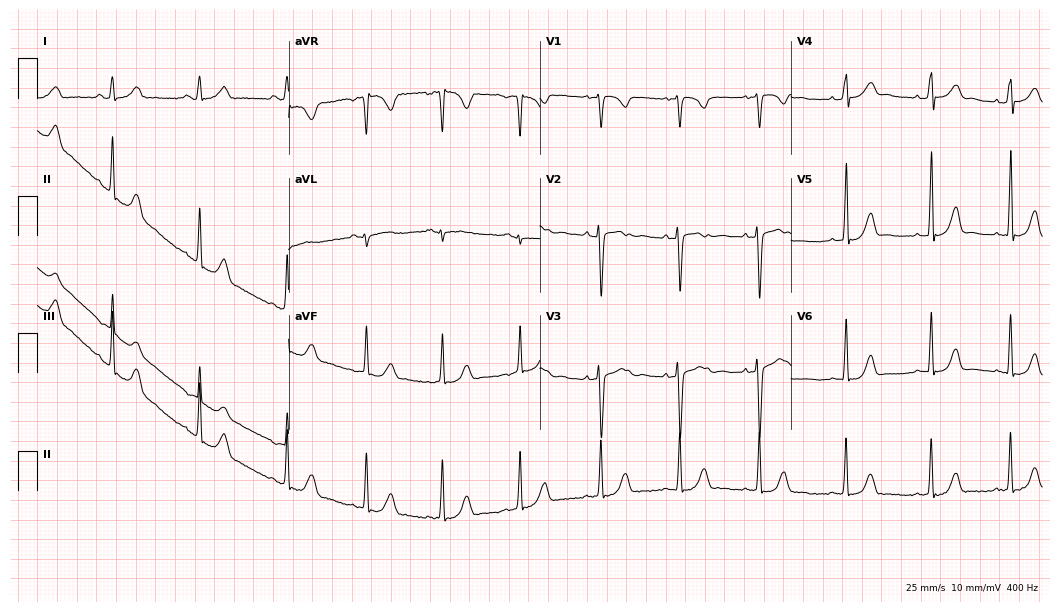
Electrocardiogram (10.2-second recording at 400 Hz), a 21-year-old female patient. Overall reading on record: normal ECG.